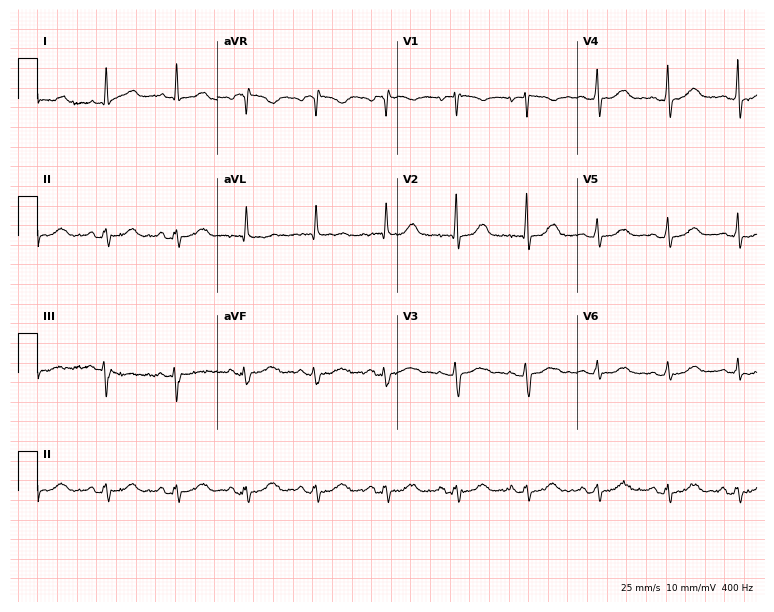
12-lead ECG from a woman, 73 years old. Screened for six findings — first-degree AV block, right bundle branch block, left bundle branch block, sinus bradycardia, atrial fibrillation, sinus tachycardia — none is recorded.